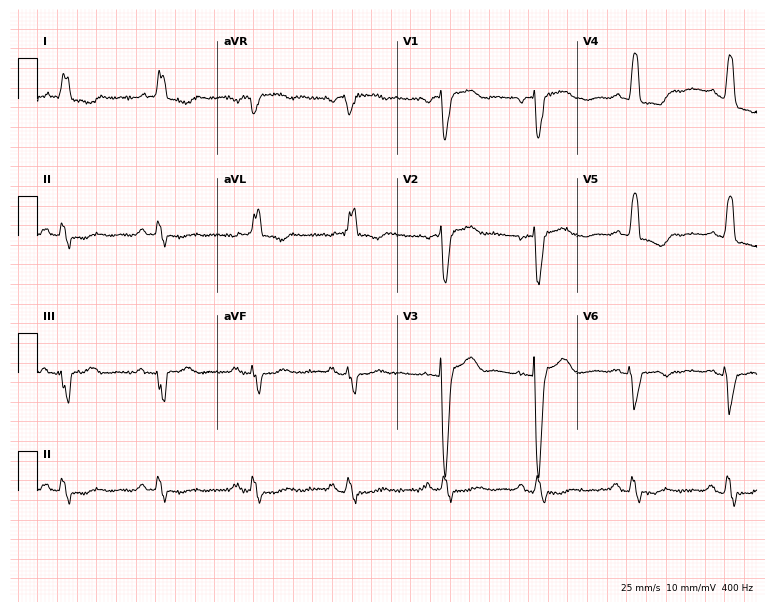
Standard 12-lead ECG recorded from an 84-year-old female (7.3-second recording at 400 Hz). The tracing shows left bundle branch block.